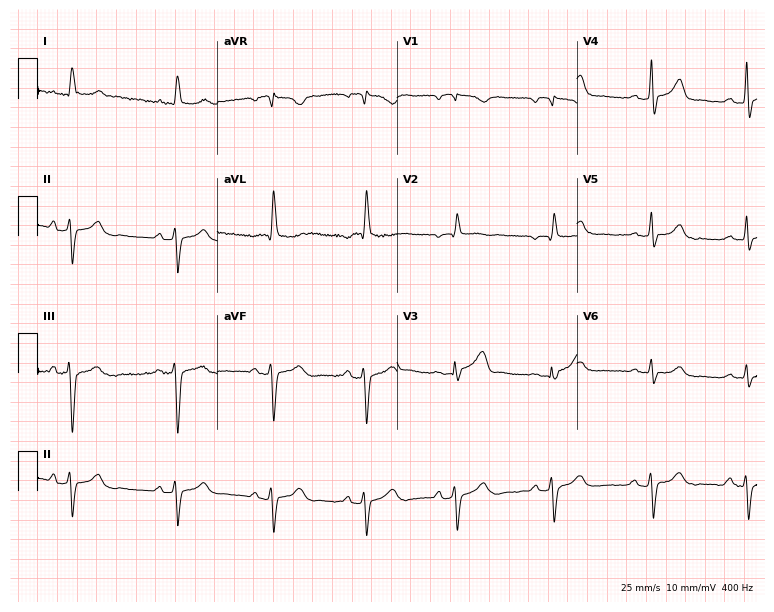
12-lead ECG (7.3-second recording at 400 Hz) from a female patient, 68 years old. Screened for six findings — first-degree AV block, right bundle branch block, left bundle branch block, sinus bradycardia, atrial fibrillation, sinus tachycardia — none is recorded. Other findings, if any, are not listed.